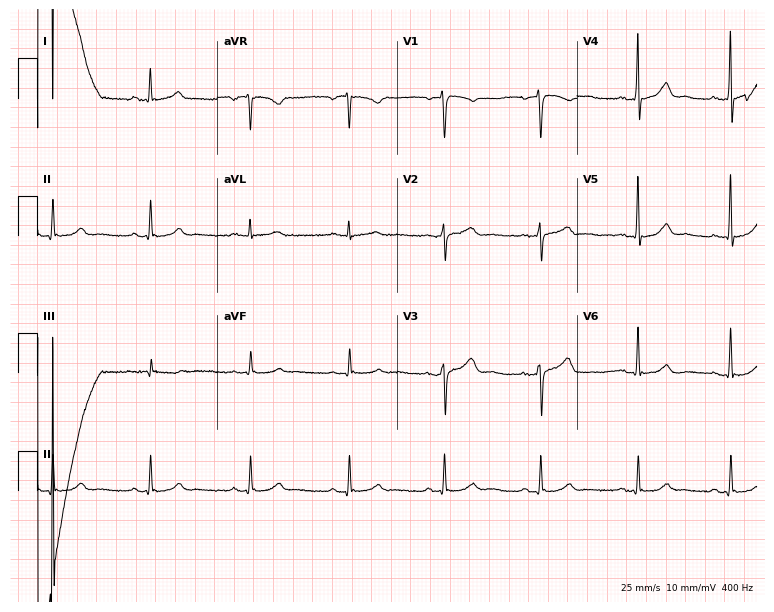
12-lead ECG from a 42-year-old female patient. Labelled as a normal ECG.